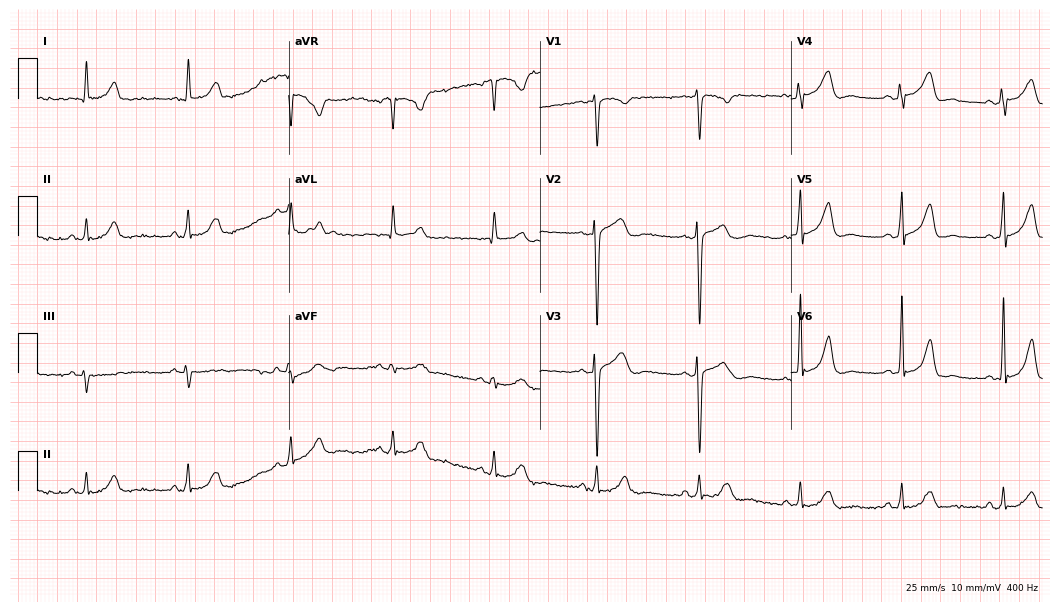
Standard 12-lead ECG recorded from a 46-year-old male. Read as a normal ECG.